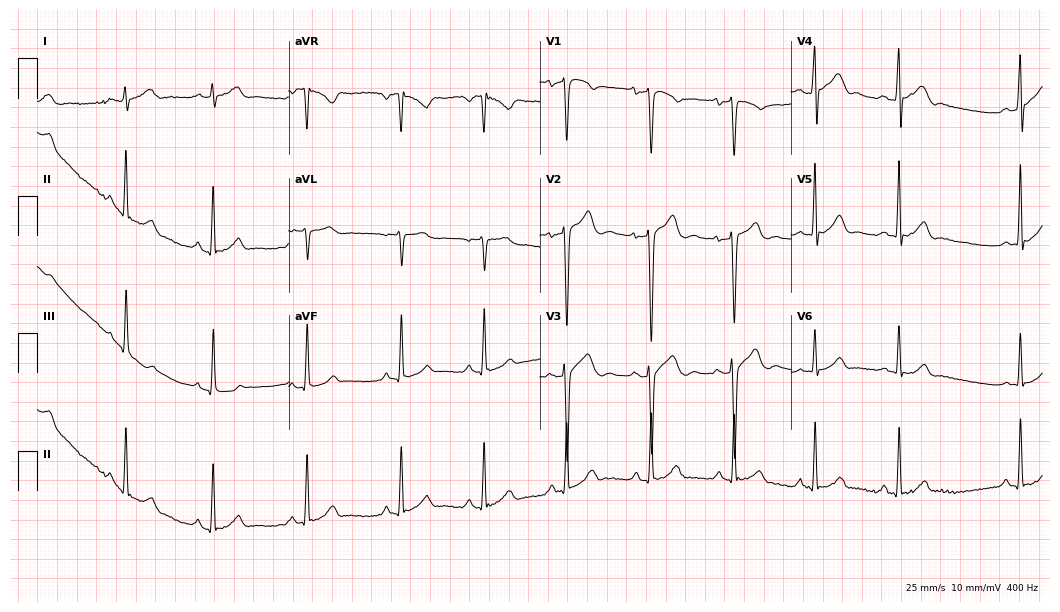
Resting 12-lead electrocardiogram. Patient: a man, 22 years old. Read as a normal ECG.